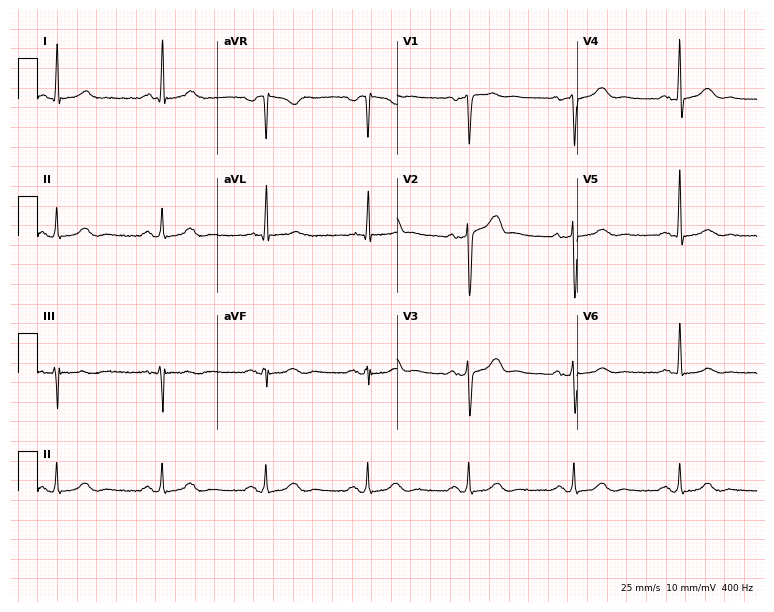
Standard 12-lead ECG recorded from a man, 56 years old (7.3-second recording at 400 Hz). Read as a normal ECG.